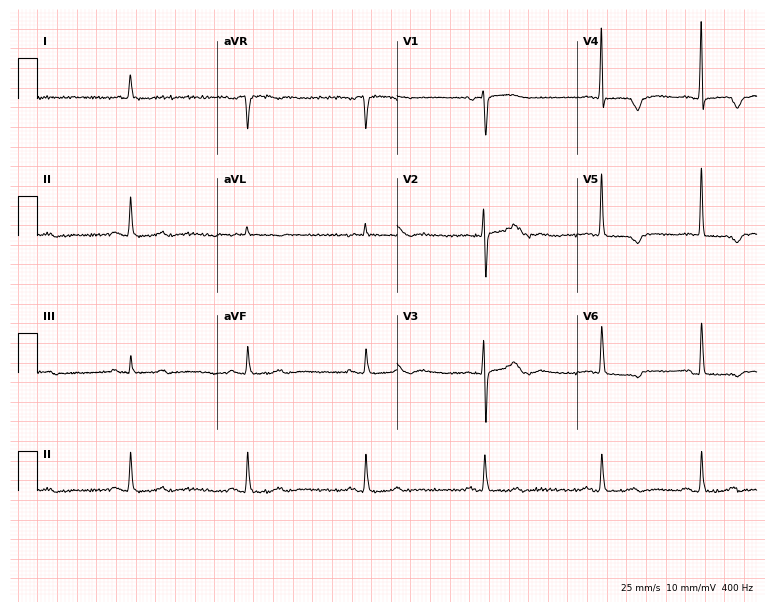
12-lead ECG from a 78-year-old female. No first-degree AV block, right bundle branch block (RBBB), left bundle branch block (LBBB), sinus bradycardia, atrial fibrillation (AF) or sinus tachycardia recorded for this tracing.